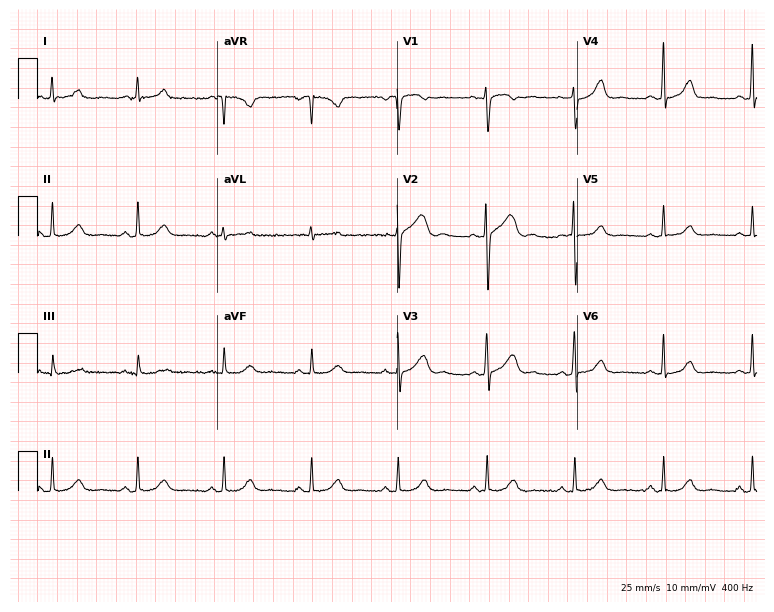
Electrocardiogram, a woman, 46 years old. Overall reading on record: normal ECG.